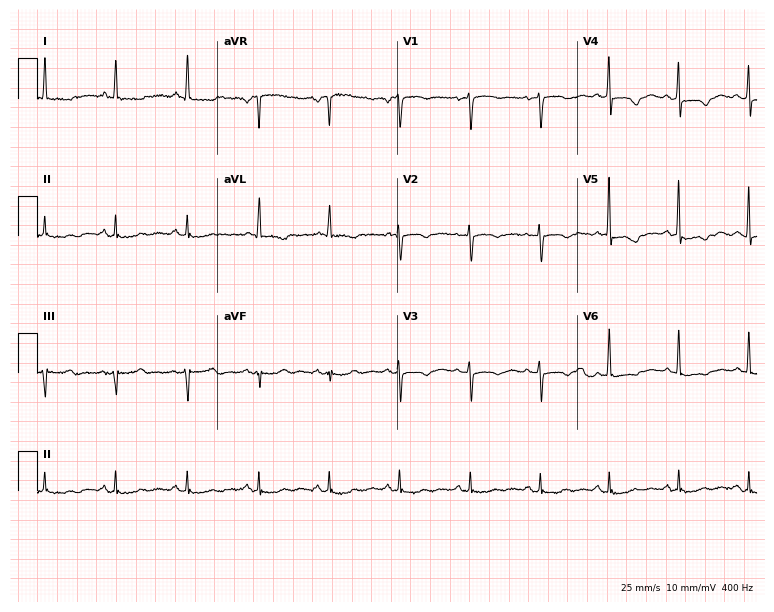
ECG — a 76-year-old female. Screened for six findings — first-degree AV block, right bundle branch block (RBBB), left bundle branch block (LBBB), sinus bradycardia, atrial fibrillation (AF), sinus tachycardia — none is recorded.